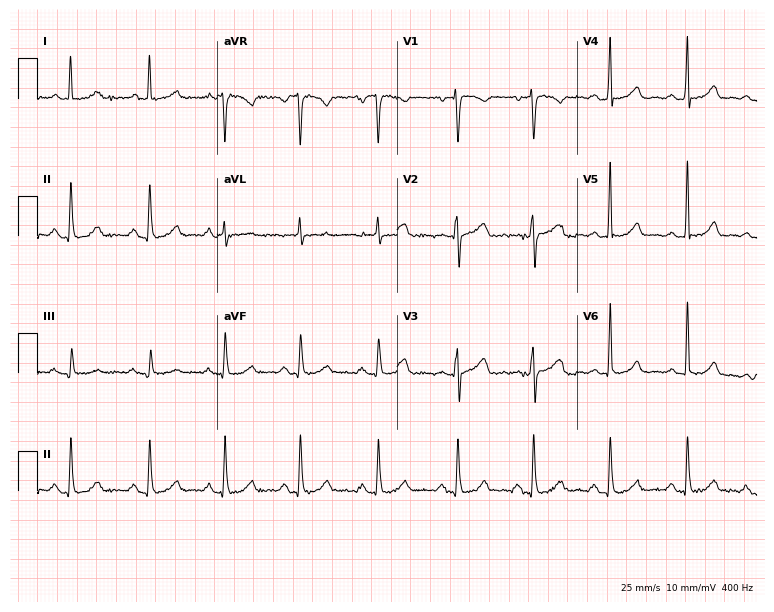
12-lead ECG (7.3-second recording at 400 Hz) from a female patient, 45 years old. Labelled as a normal ECG.